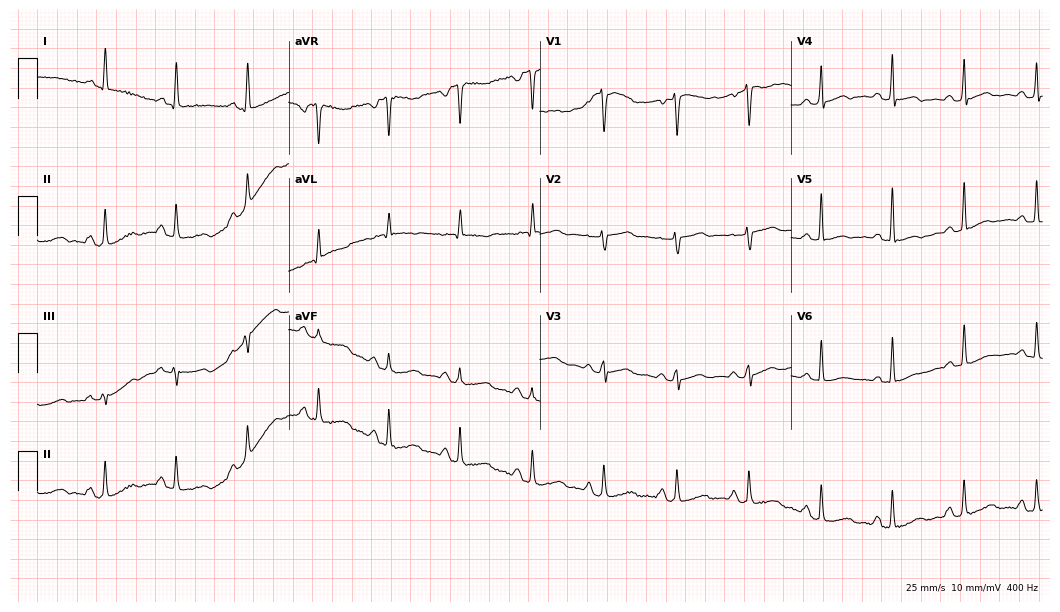
ECG — a female, 57 years old. Screened for six findings — first-degree AV block, right bundle branch block (RBBB), left bundle branch block (LBBB), sinus bradycardia, atrial fibrillation (AF), sinus tachycardia — none is recorded. Other findings, if any, are not listed.